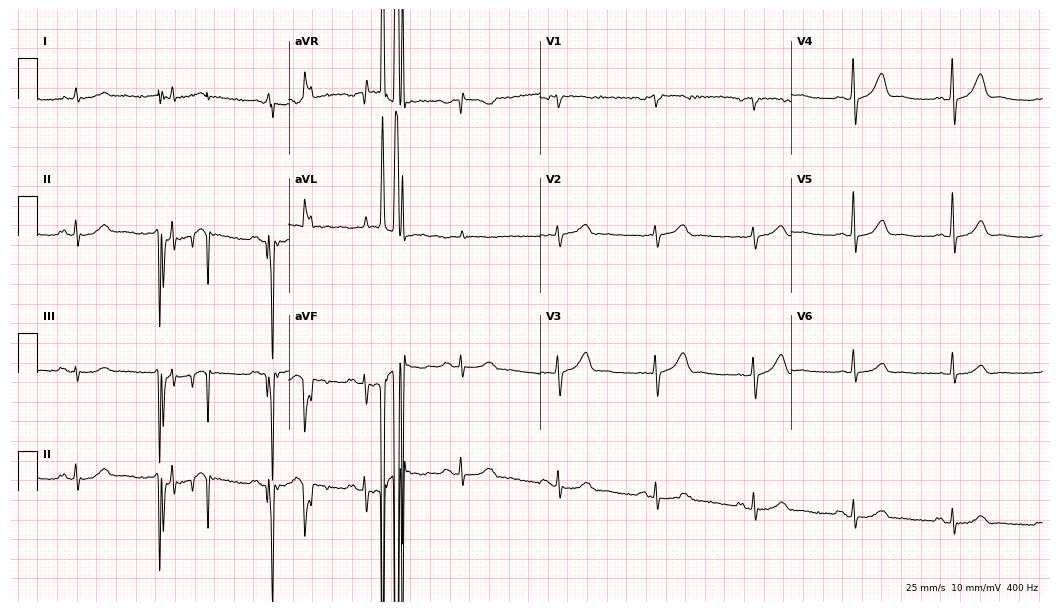
Electrocardiogram, a male, 73 years old. Of the six screened findings (first-degree AV block, right bundle branch block, left bundle branch block, sinus bradycardia, atrial fibrillation, sinus tachycardia), none is recorded.